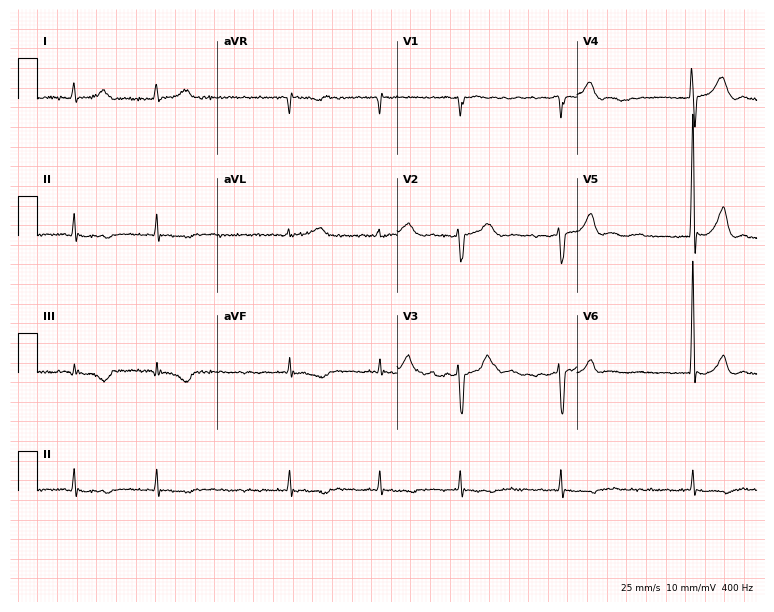
12-lead ECG from a male, 62 years old. Findings include atrial fibrillation.